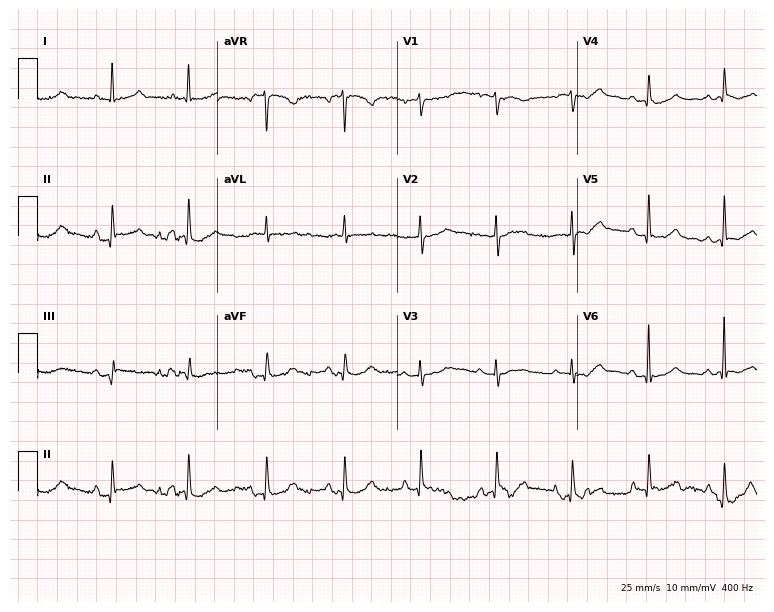
Electrocardiogram (7.3-second recording at 400 Hz), a 72-year-old woman. Overall reading on record: normal ECG.